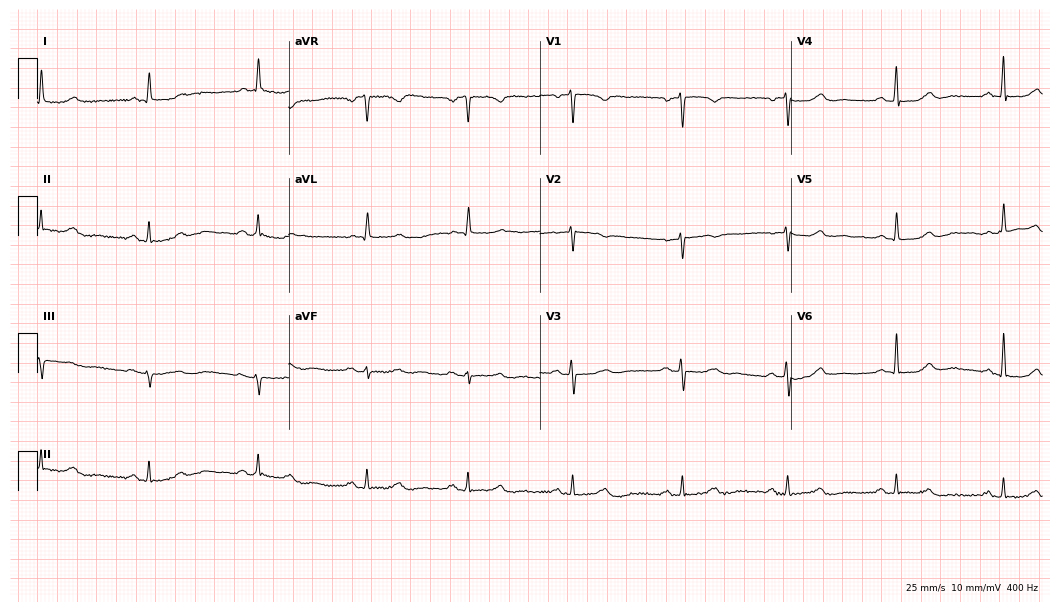
12-lead ECG (10.2-second recording at 400 Hz) from a 67-year-old woman. Labelled as a normal ECG.